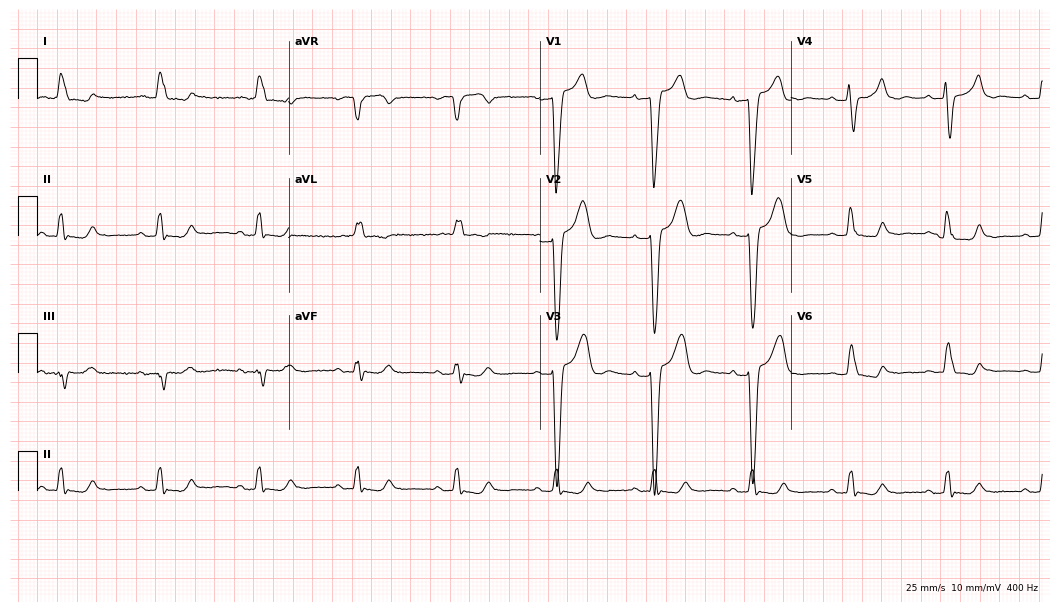
12-lead ECG (10.2-second recording at 400 Hz) from an 82-year-old female patient. Findings include left bundle branch block.